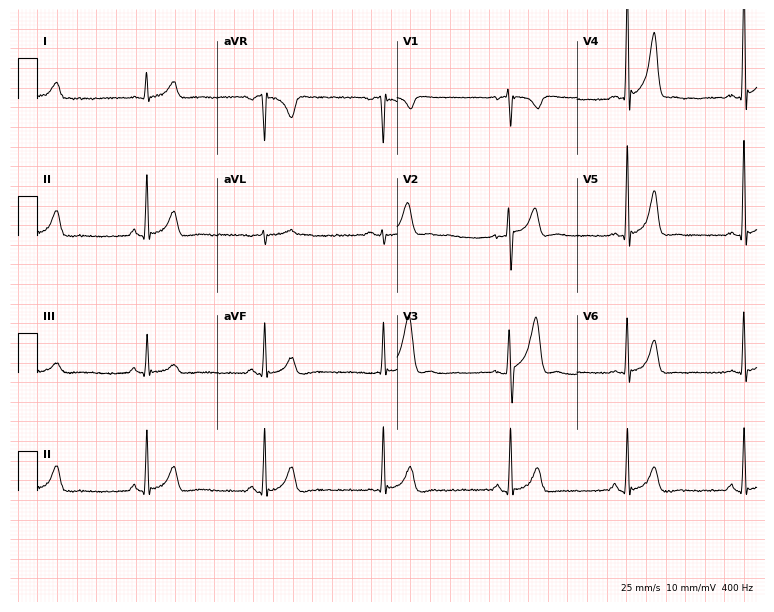
Resting 12-lead electrocardiogram (7.3-second recording at 400 Hz). Patient: a 36-year-old man. The tracing shows sinus bradycardia (a sinus rate of 50 beats per minute or less).